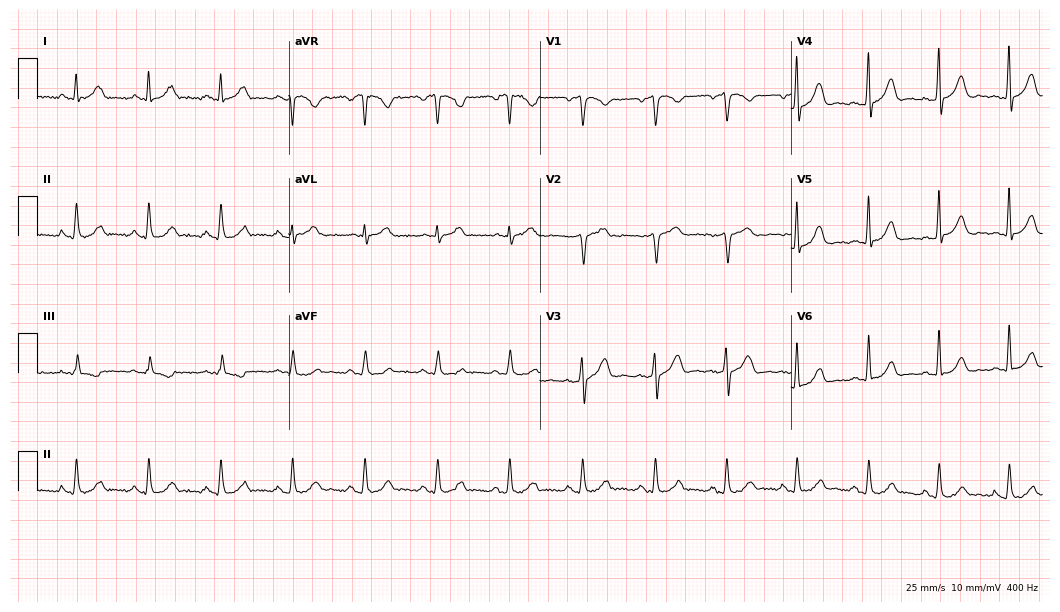
12-lead ECG from a male patient, 56 years old (10.2-second recording at 400 Hz). No first-degree AV block, right bundle branch block, left bundle branch block, sinus bradycardia, atrial fibrillation or sinus tachycardia recorded for this tracing. Findings outside these six are not listed.